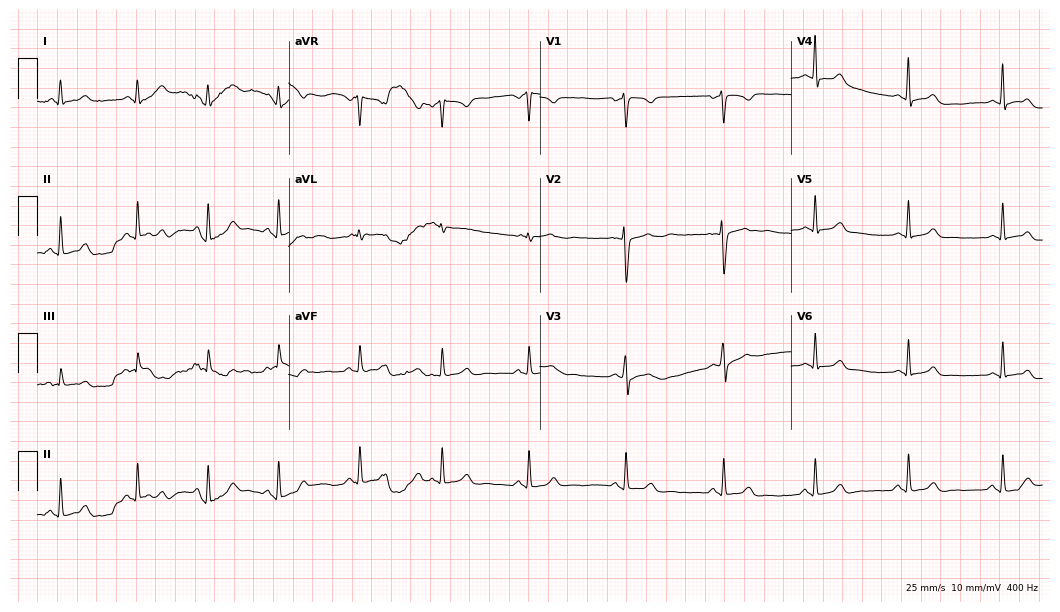
ECG — a 26-year-old female patient. Screened for six findings — first-degree AV block, right bundle branch block, left bundle branch block, sinus bradycardia, atrial fibrillation, sinus tachycardia — none is recorded. Findings outside these six are not listed.